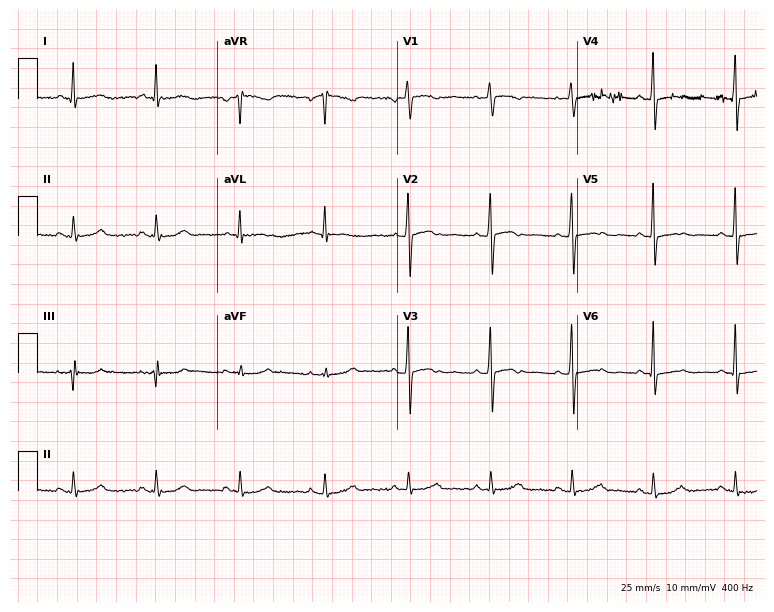
Standard 12-lead ECG recorded from a female patient, 55 years old. None of these six findings is recorded: first-degree AV block, right bundle branch block, left bundle branch block, sinus bradycardia, atrial fibrillation, sinus tachycardia. Findings outside these six are not listed.